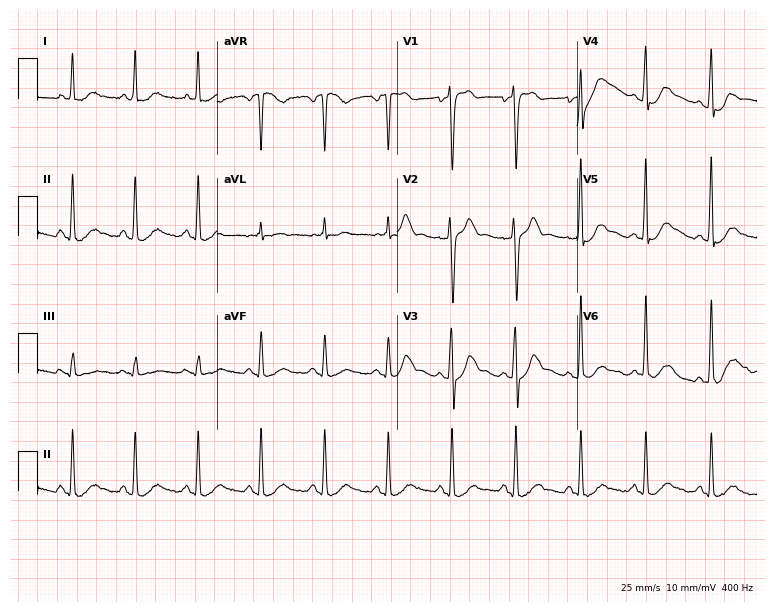
Electrocardiogram, a male patient, 39 years old. Overall reading on record: normal ECG.